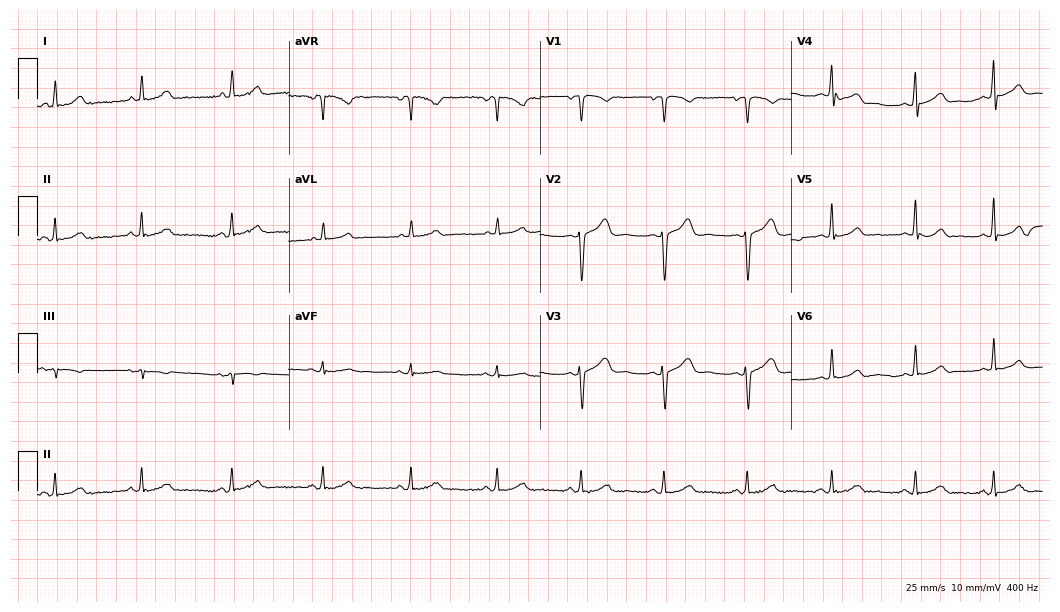
12-lead ECG from a female patient, 32 years old. Labelled as a normal ECG.